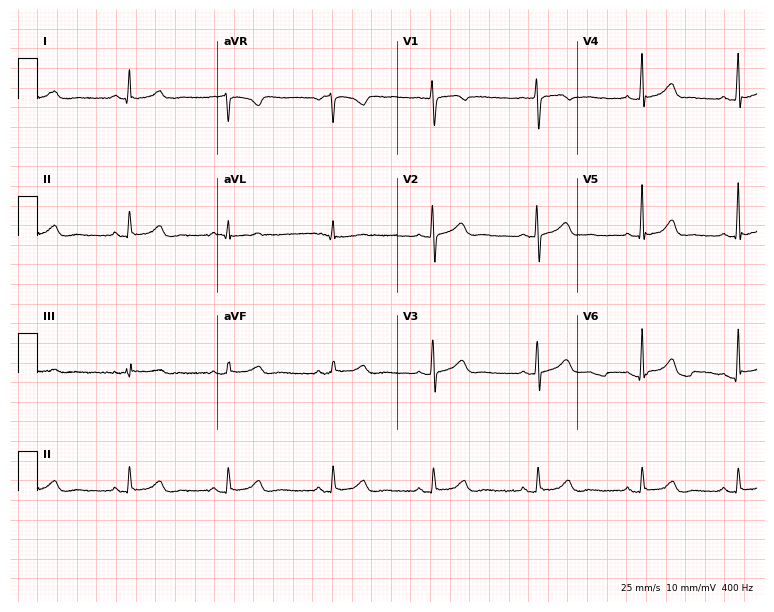
Standard 12-lead ECG recorded from a 34-year-old female patient. Read as a normal ECG.